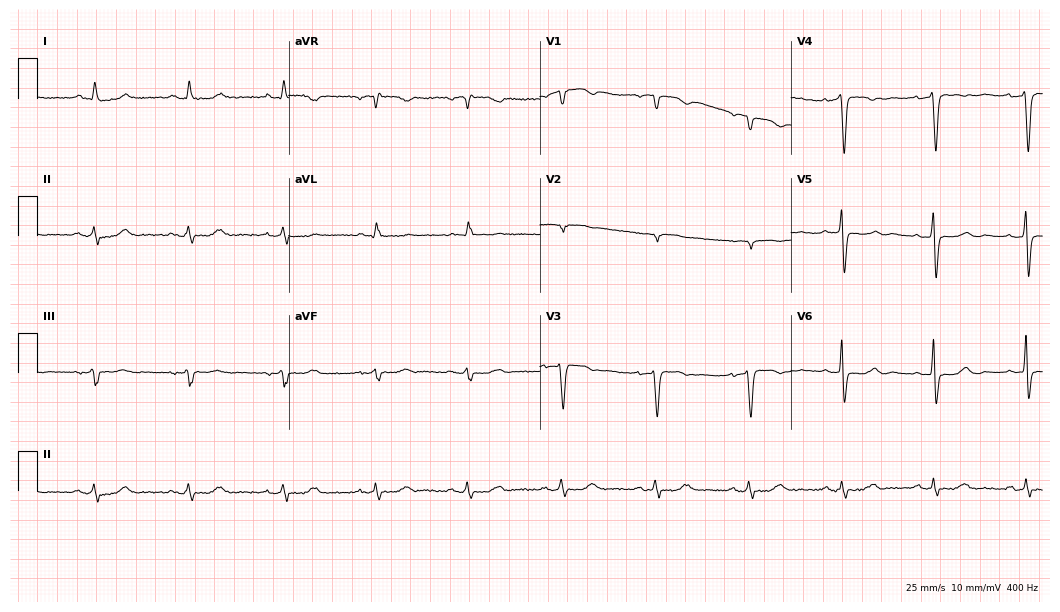
12-lead ECG from a 72-year-old female patient (10.2-second recording at 400 Hz). No first-degree AV block, right bundle branch block (RBBB), left bundle branch block (LBBB), sinus bradycardia, atrial fibrillation (AF) or sinus tachycardia recorded for this tracing. Findings outside these six are not listed.